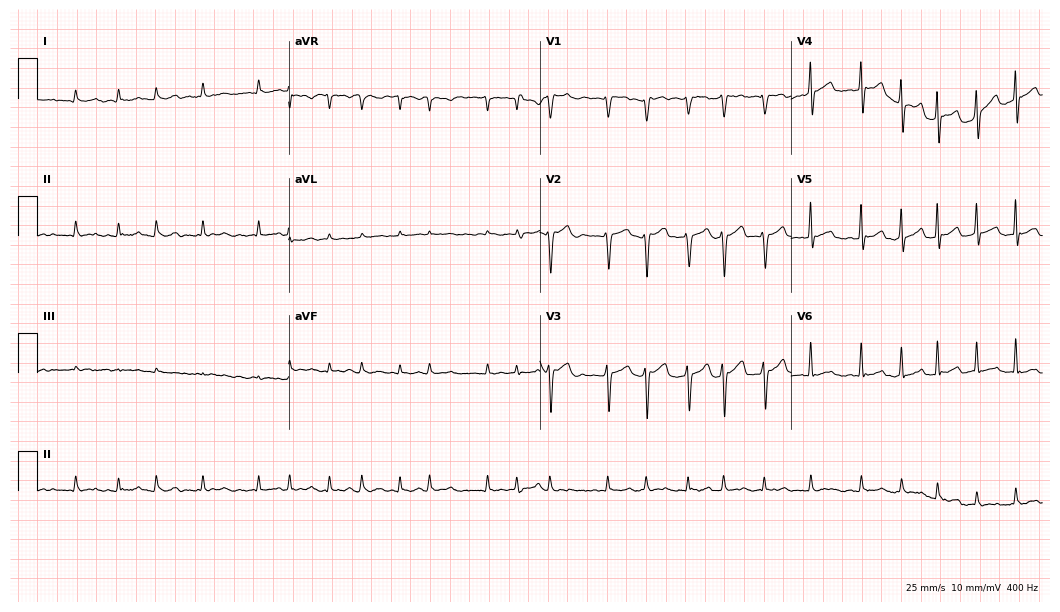
12-lead ECG (10.2-second recording at 400 Hz) from a 71-year-old man. Findings include atrial fibrillation.